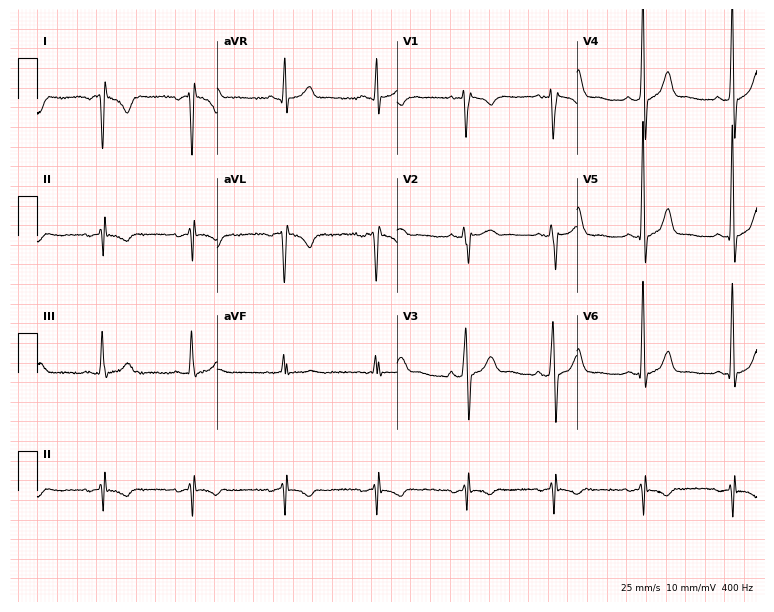
Electrocardiogram, a male patient, 47 years old. Overall reading on record: normal ECG.